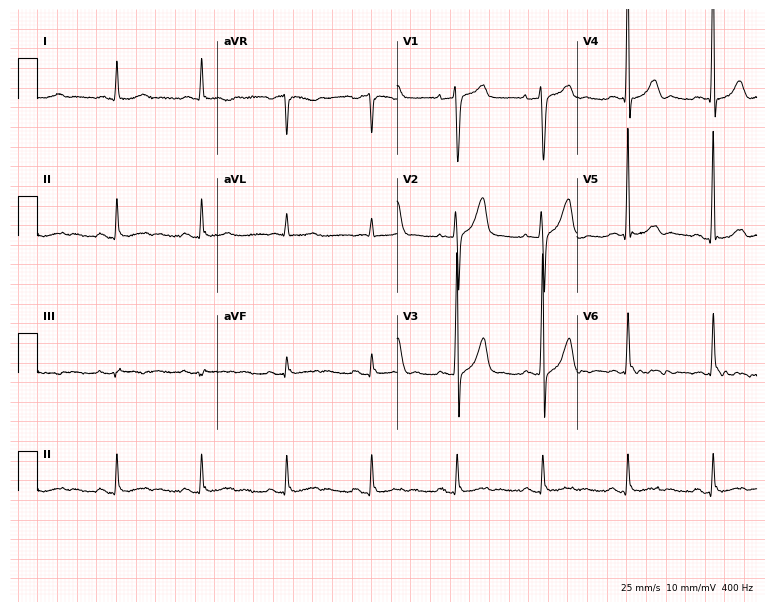
Resting 12-lead electrocardiogram. Patient: a 69-year-old male. None of these six findings is recorded: first-degree AV block, right bundle branch block (RBBB), left bundle branch block (LBBB), sinus bradycardia, atrial fibrillation (AF), sinus tachycardia. Findings outside these six are not listed.